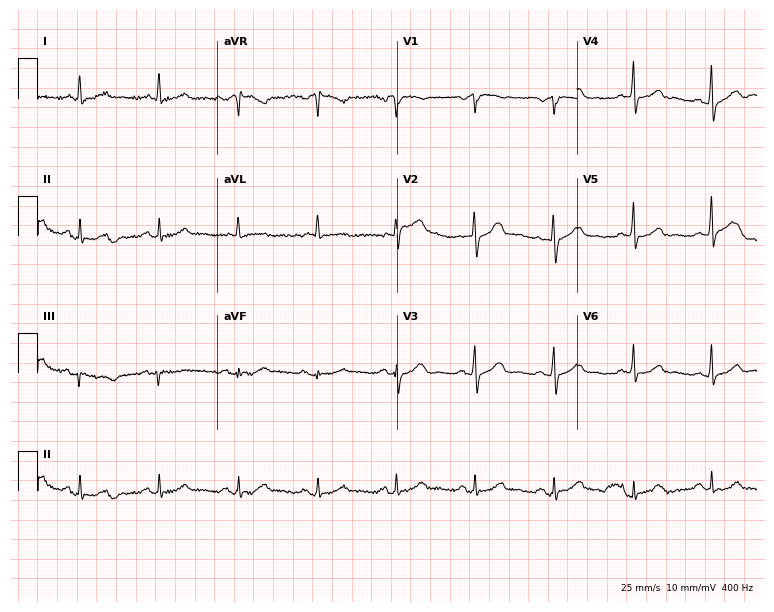
Resting 12-lead electrocardiogram (7.3-second recording at 400 Hz). Patient: a male, 64 years old. Read as a normal ECG.